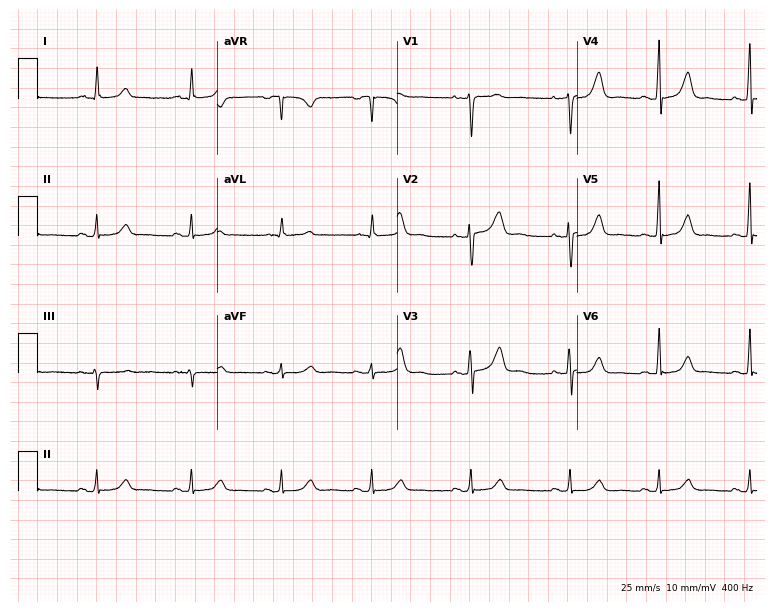
Electrocardiogram, a 45-year-old female. Overall reading on record: normal ECG.